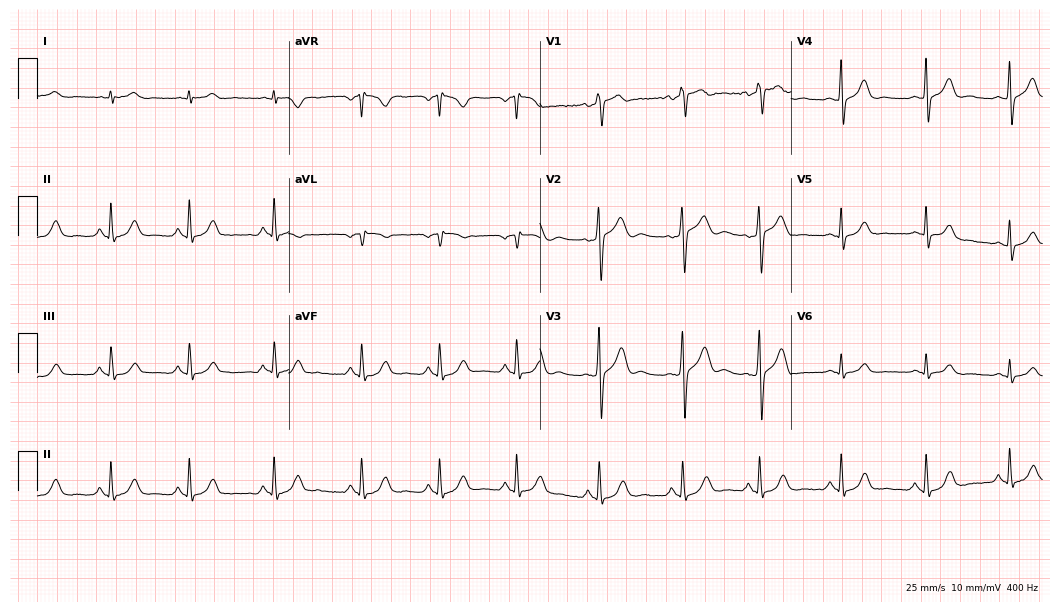
12-lead ECG from a male patient, 28 years old. Recorded interpretation: within normal limits.